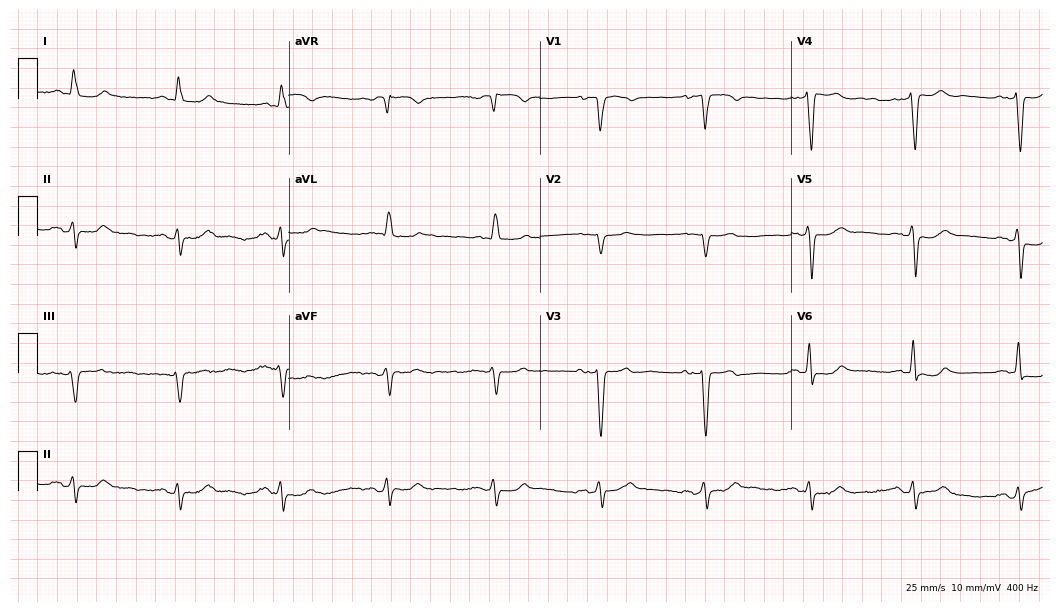
Electrocardiogram, an 82-year-old male patient. Of the six screened findings (first-degree AV block, right bundle branch block, left bundle branch block, sinus bradycardia, atrial fibrillation, sinus tachycardia), none is recorded. Findings outside these six are not listed.